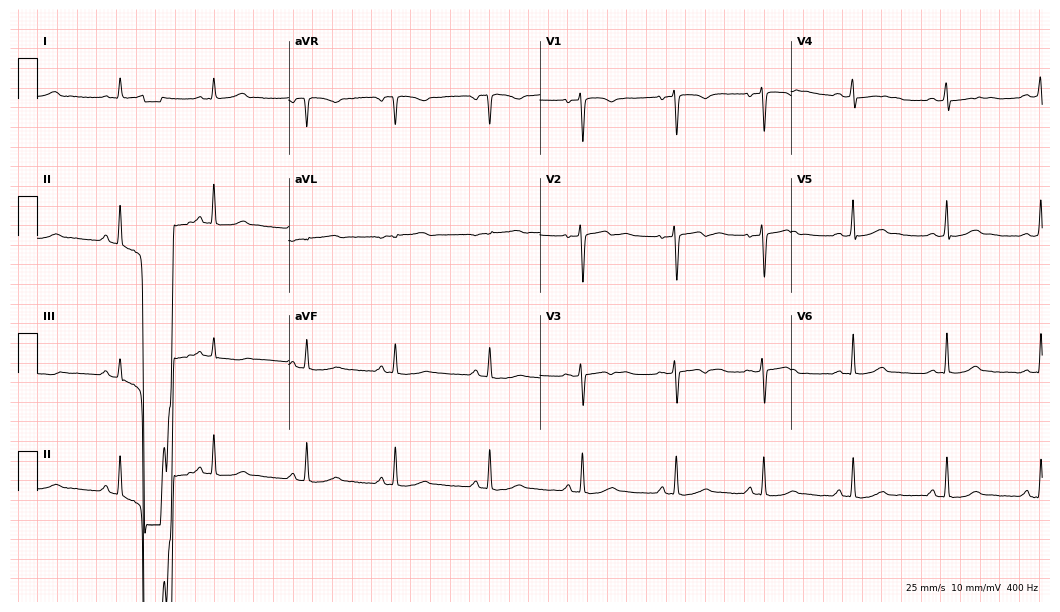
Resting 12-lead electrocardiogram (10.2-second recording at 400 Hz). Patient: a woman, 30 years old. None of these six findings is recorded: first-degree AV block, right bundle branch block (RBBB), left bundle branch block (LBBB), sinus bradycardia, atrial fibrillation (AF), sinus tachycardia.